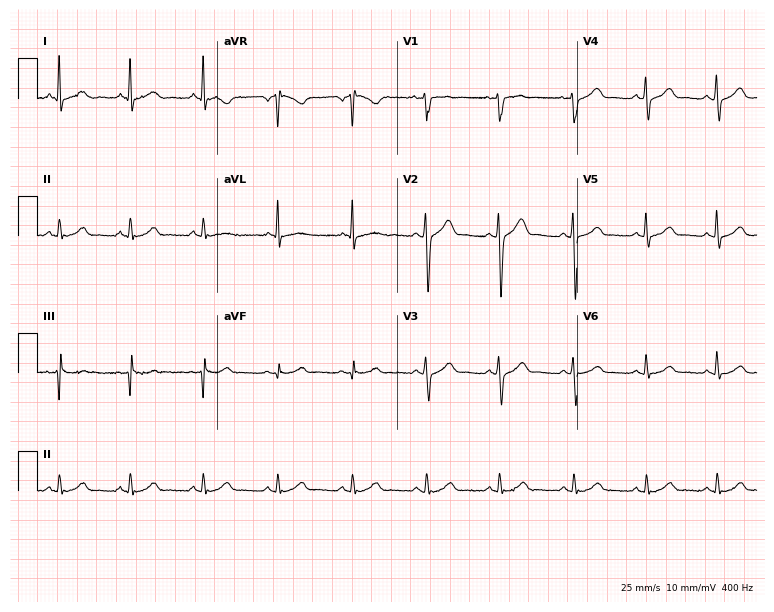
12-lead ECG (7.3-second recording at 400 Hz) from a male, 44 years old. Labelled as a normal ECG.